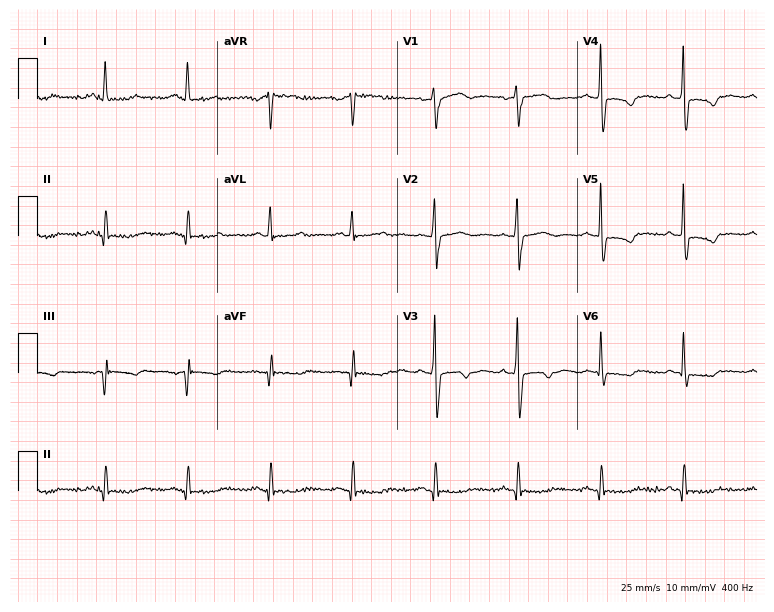
Resting 12-lead electrocardiogram (7.3-second recording at 400 Hz). Patient: a 64-year-old female. None of these six findings is recorded: first-degree AV block, right bundle branch block, left bundle branch block, sinus bradycardia, atrial fibrillation, sinus tachycardia.